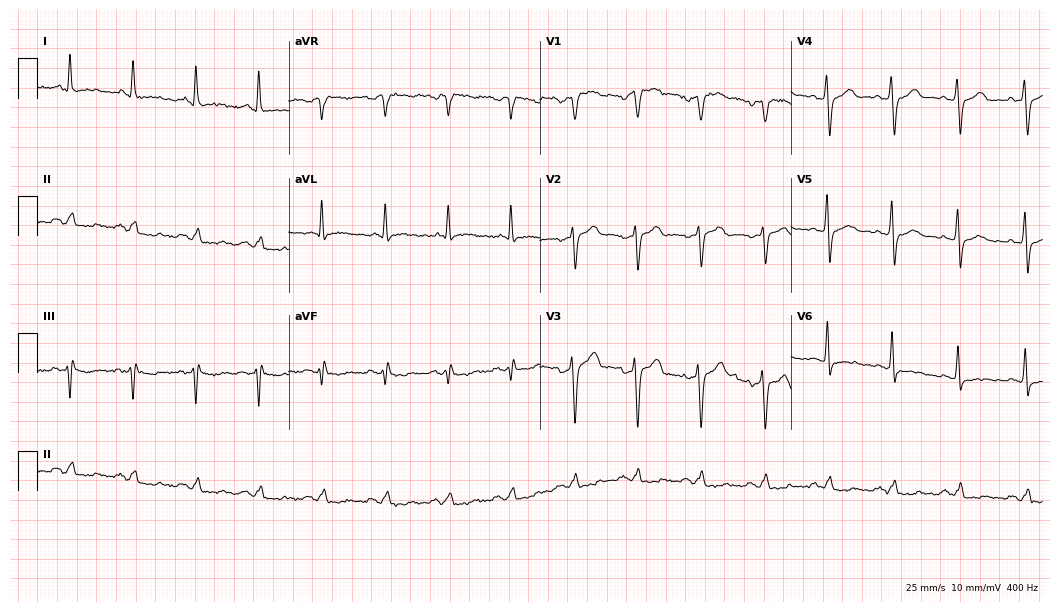
Standard 12-lead ECG recorded from a male patient, 53 years old. None of these six findings is recorded: first-degree AV block, right bundle branch block (RBBB), left bundle branch block (LBBB), sinus bradycardia, atrial fibrillation (AF), sinus tachycardia. Only these six findings were labelled.